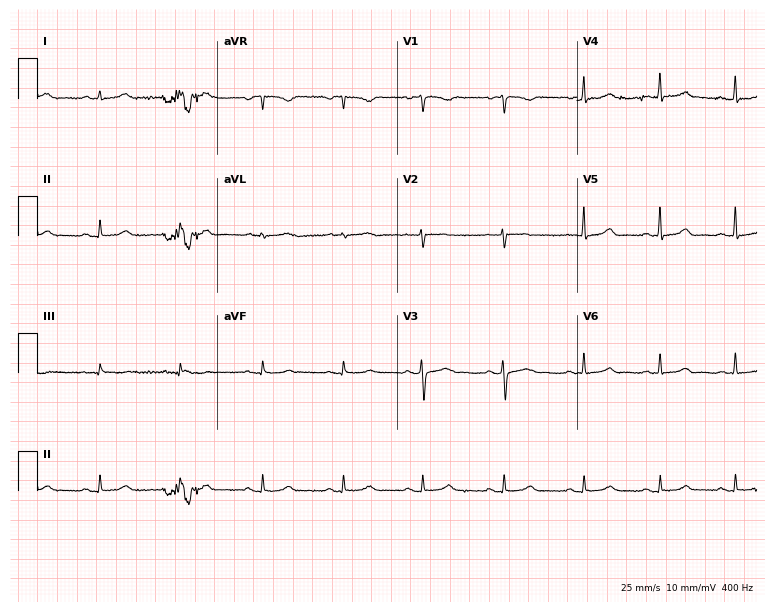
Standard 12-lead ECG recorded from a 39-year-old woman (7.3-second recording at 400 Hz). None of these six findings is recorded: first-degree AV block, right bundle branch block, left bundle branch block, sinus bradycardia, atrial fibrillation, sinus tachycardia. Other findings, if any, are not listed.